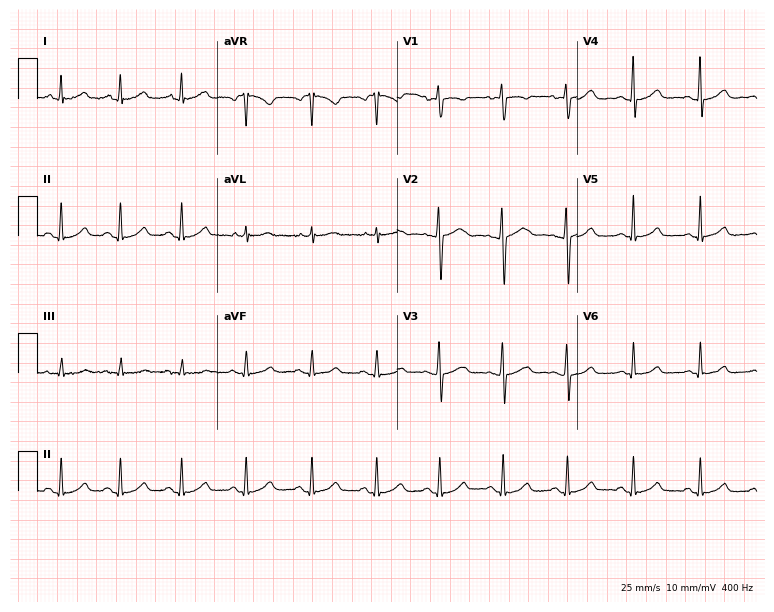
Electrocardiogram, a 41-year-old woman. Overall reading on record: normal ECG.